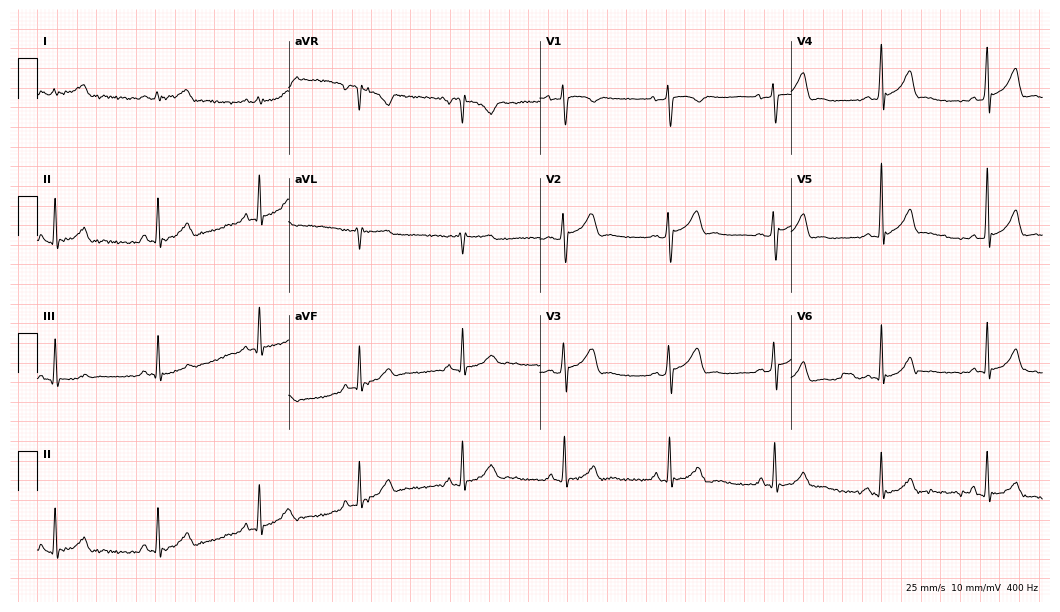
Electrocardiogram, a 27-year-old male patient. Overall reading on record: normal ECG.